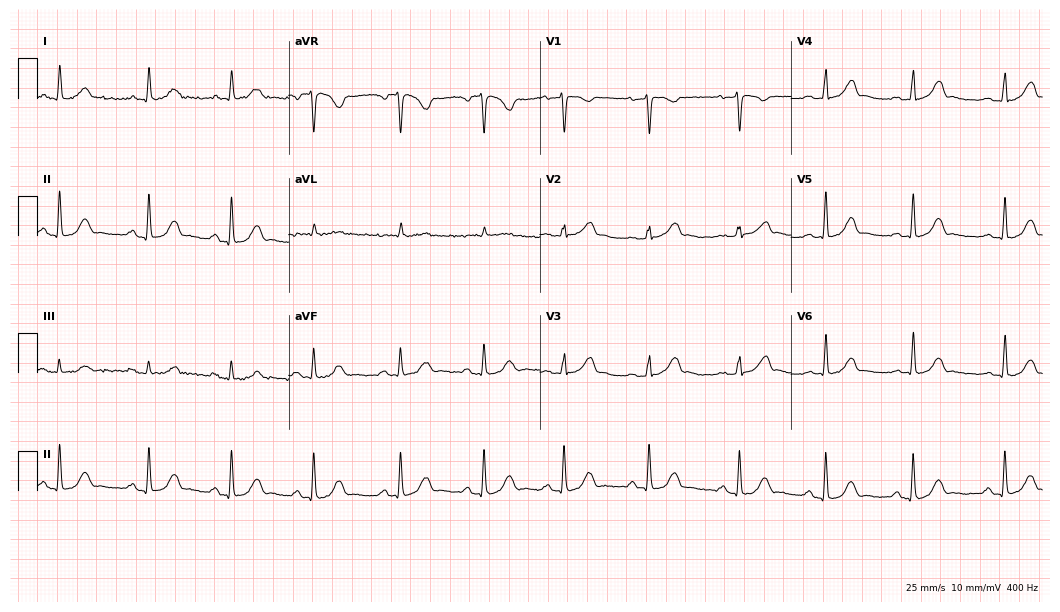
Standard 12-lead ECG recorded from a woman, 45 years old (10.2-second recording at 400 Hz). Read as a normal ECG.